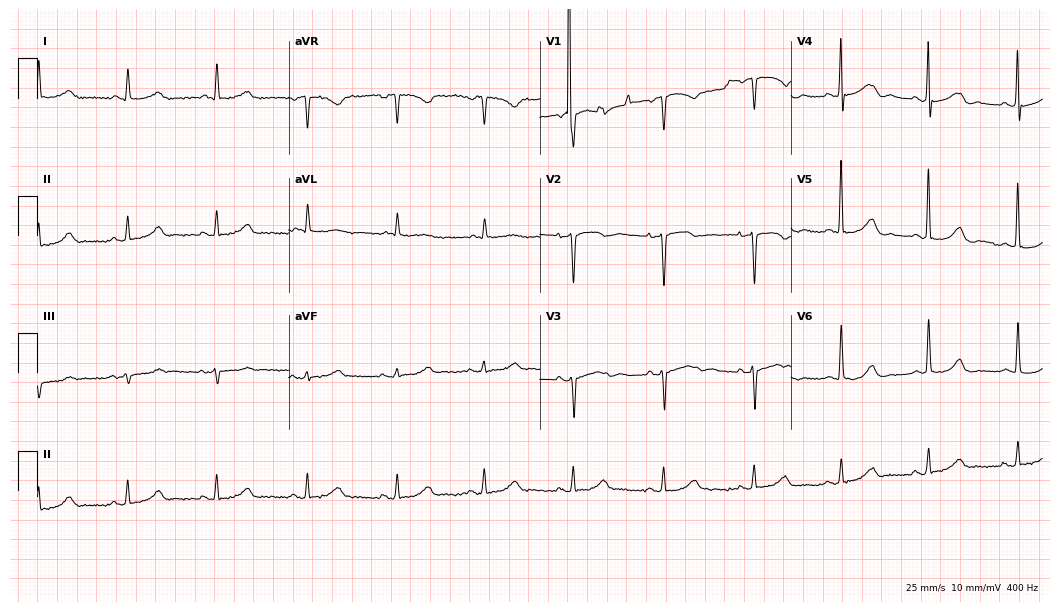
12-lead ECG from a woman, 68 years old (10.2-second recording at 400 Hz). No first-degree AV block, right bundle branch block, left bundle branch block, sinus bradycardia, atrial fibrillation or sinus tachycardia recorded for this tracing. Other findings, if any, are not listed.